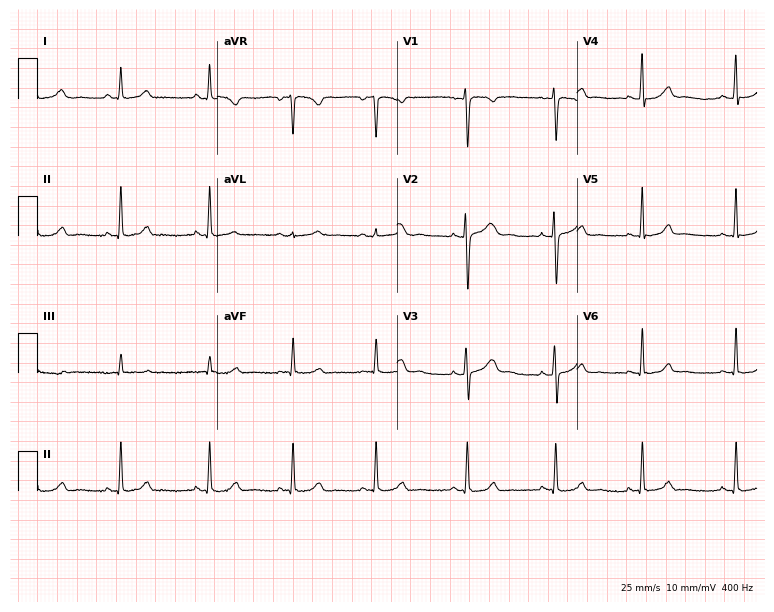
ECG (7.3-second recording at 400 Hz) — a 22-year-old female patient. Labelled as a normal ECG.